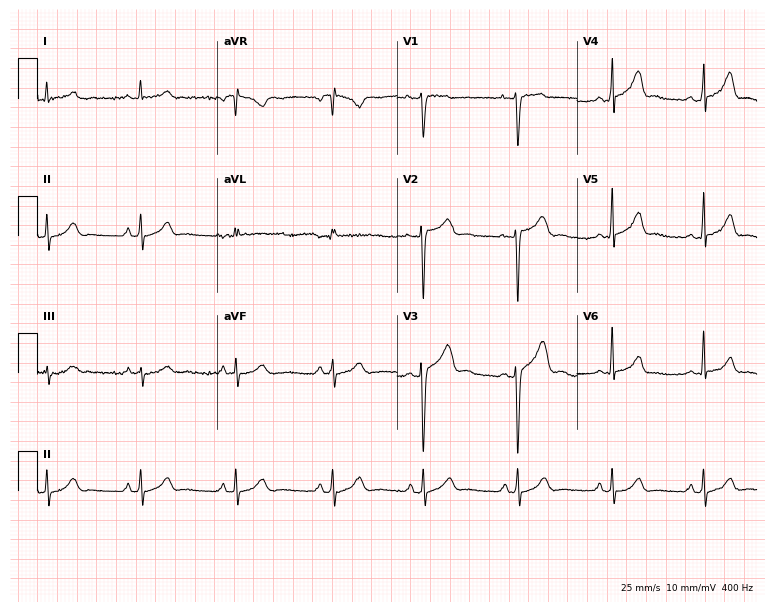
Standard 12-lead ECG recorded from a male, 20 years old (7.3-second recording at 400 Hz). Read as a normal ECG.